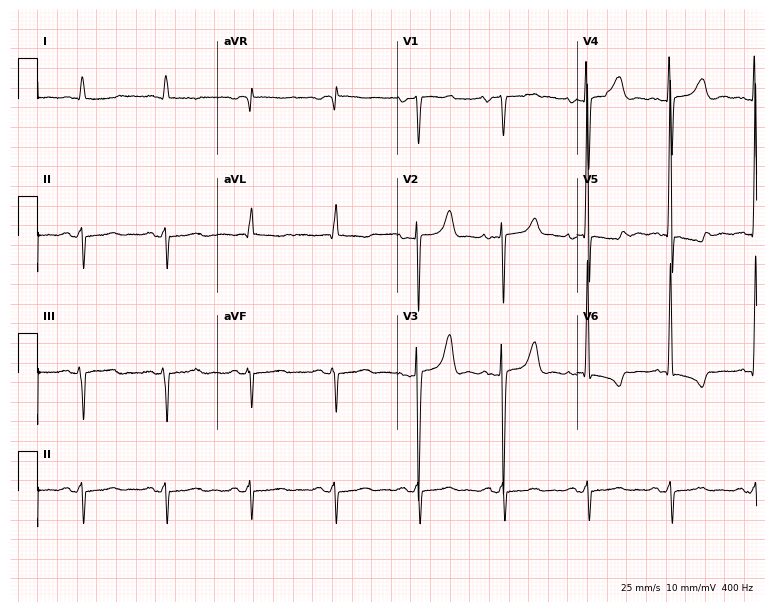
Standard 12-lead ECG recorded from a male, 76 years old (7.3-second recording at 400 Hz). None of these six findings is recorded: first-degree AV block, right bundle branch block, left bundle branch block, sinus bradycardia, atrial fibrillation, sinus tachycardia. Other findings, if any, are not listed.